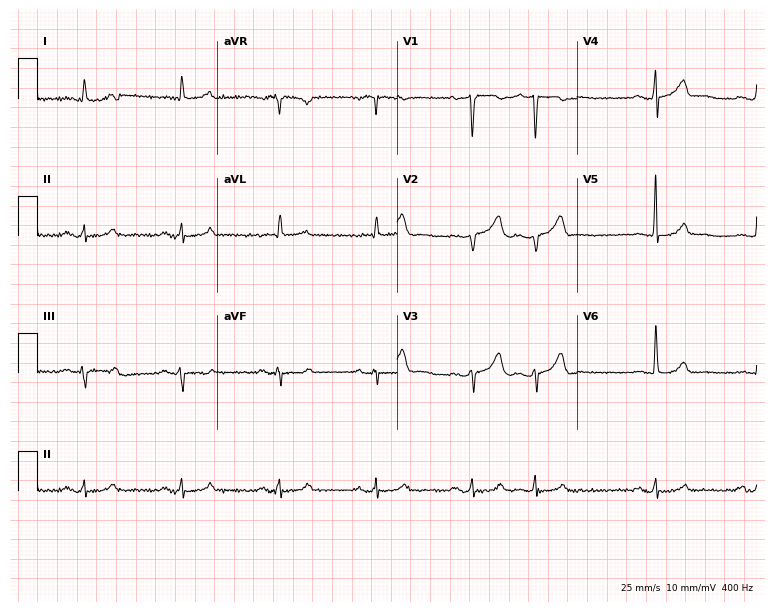
Electrocardiogram (7.3-second recording at 400 Hz), an 81-year-old male patient. Of the six screened findings (first-degree AV block, right bundle branch block (RBBB), left bundle branch block (LBBB), sinus bradycardia, atrial fibrillation (AF), sinus tachycardia), none is recorded.